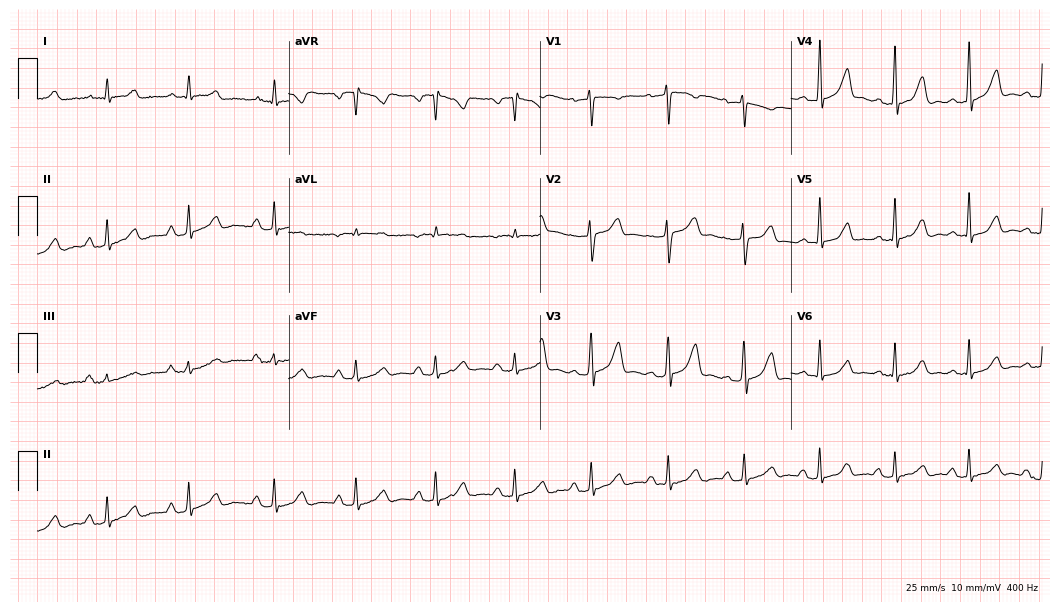
Electrocardiogram, a female, 47 years old. Overall reading on record: normal ECG.